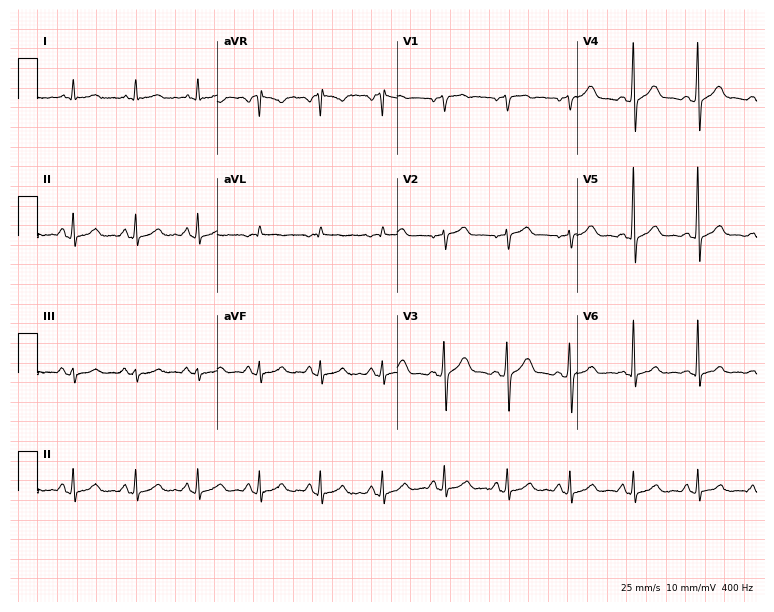
ECG — a man, 45 years old. Labelled as a normal ECG.